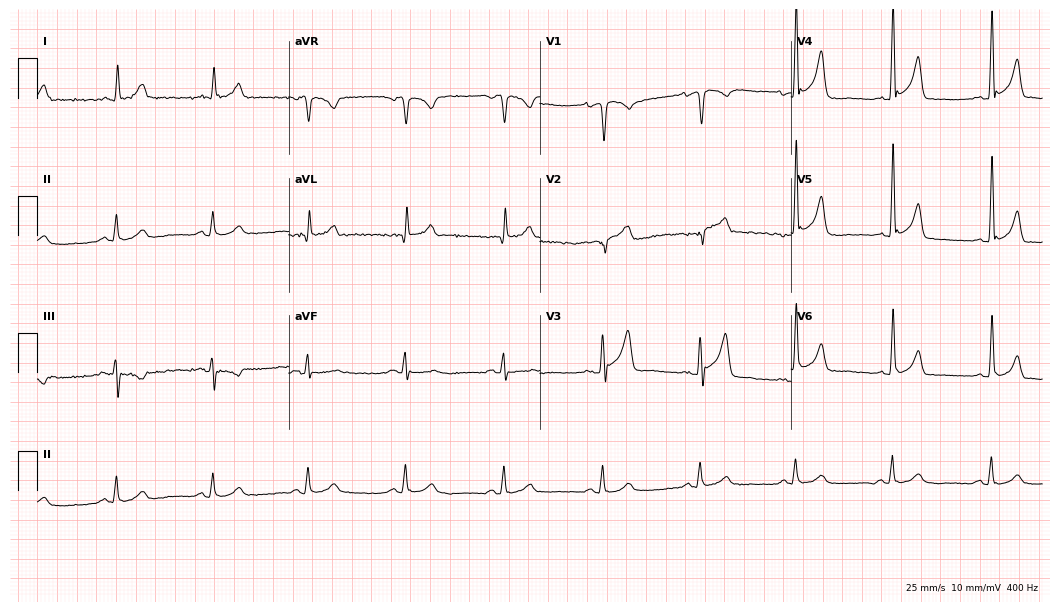
Resting 12-lead electrocardiogram (10.2-second recording at 400 Hz). Patient: a 56-year-old man. Read as a normal ECG.